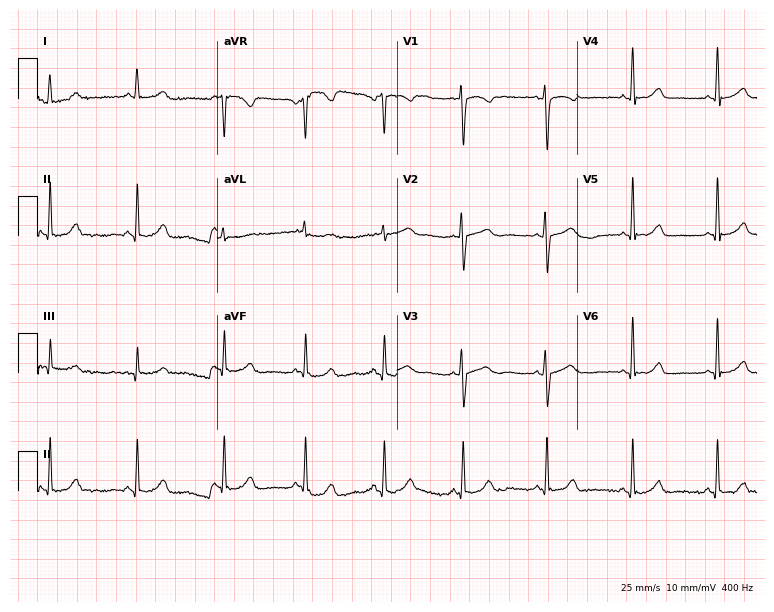
Standard 12-lead ECG recorded from a 28-year-old woman. None of these six findings is recorded: first-degree AV block, right bundle branch block (RBBB), left bundle branch block (LBBB), sinus bradycardia, atrial fibrillation (AF), sinus tachycardia. Other findings, if any, are not listed.